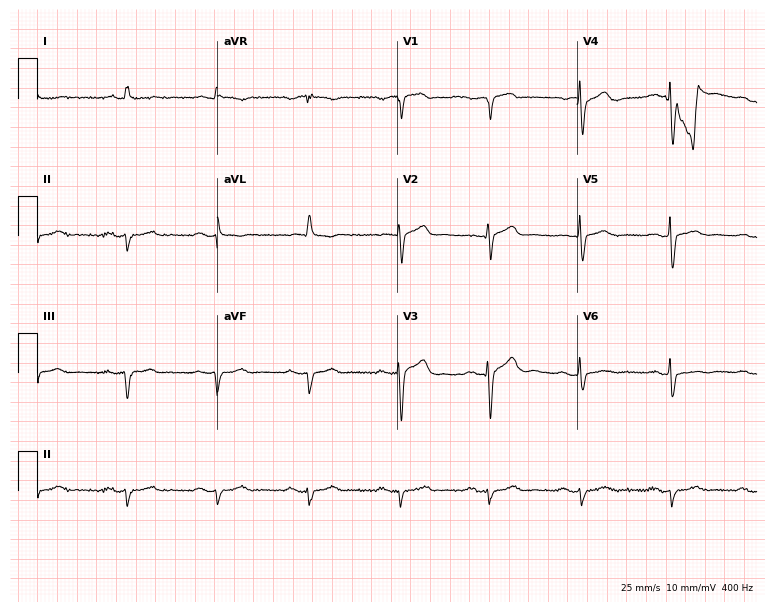
Resting 12-lead electrocardiogram. Patient: a male, 77 years old. None of these six findings is recorded: first-degree AV block, right bundle branch block, left bundle branch block, sinus bradycardia, atrial fibrillation, sinus tachycardia. Findings outside these six are not listed.